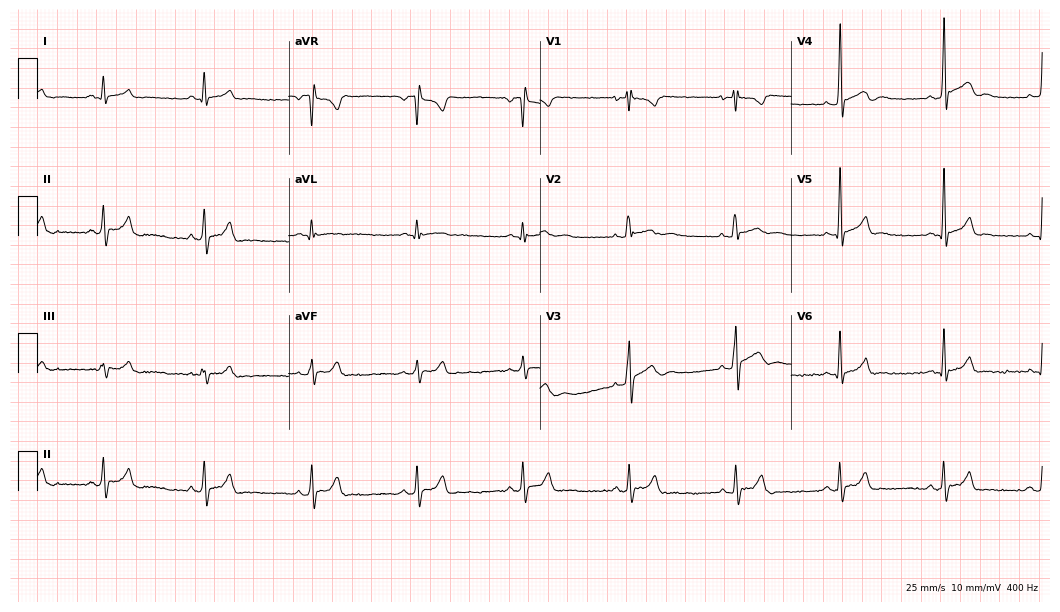
Standard 12-lead ECG recorded from a male, 17 years old (10.2-second recording at 400 Hz). None of these six findings is recorded: first-degree AV block, right bundle branch block, left bundle branch block, sinus bradycardia, atrial fibrillation, sinus tachycardia.